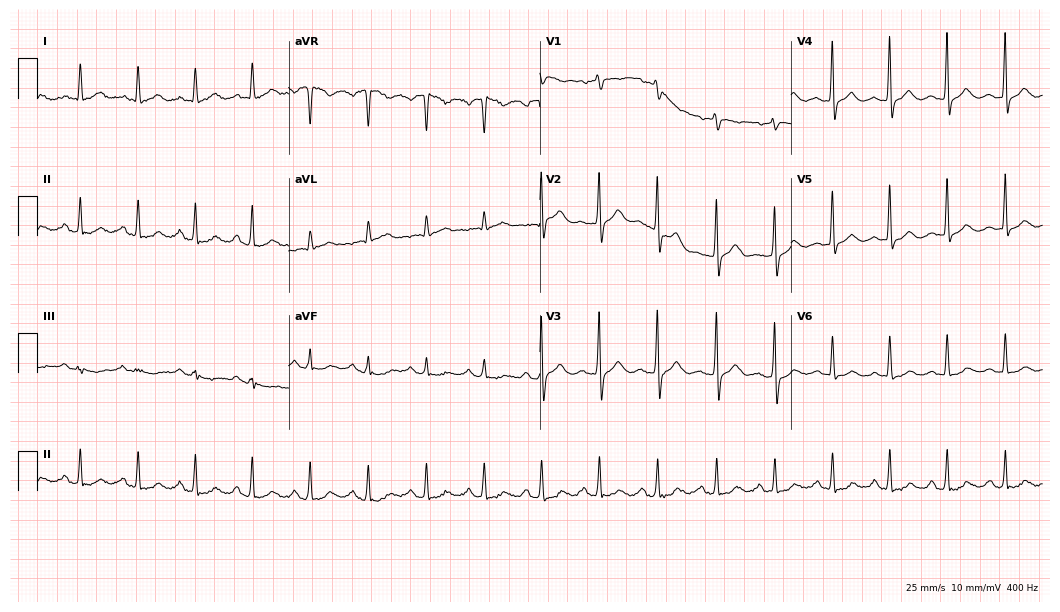
ECG (10.2-second recording at 400 Hz) — a 62-year-old woman. Findings include sinus tachycardia (a sinus rate of 100 beats per minute or more).